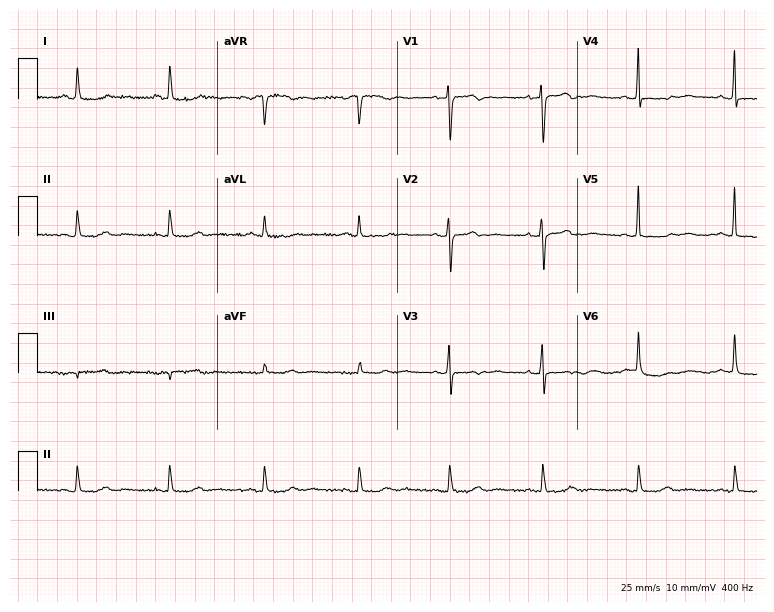
12-lead ECG from a female patient, 67 years old (7.3-second recording at 400 Hz). No first-degree AV block, right bundle branch block (RBBB), left bundle branch block (LBBB), sinus bradycardia, atrial fibrillation (AF) or sinus tachycardia recorded for this tracing.